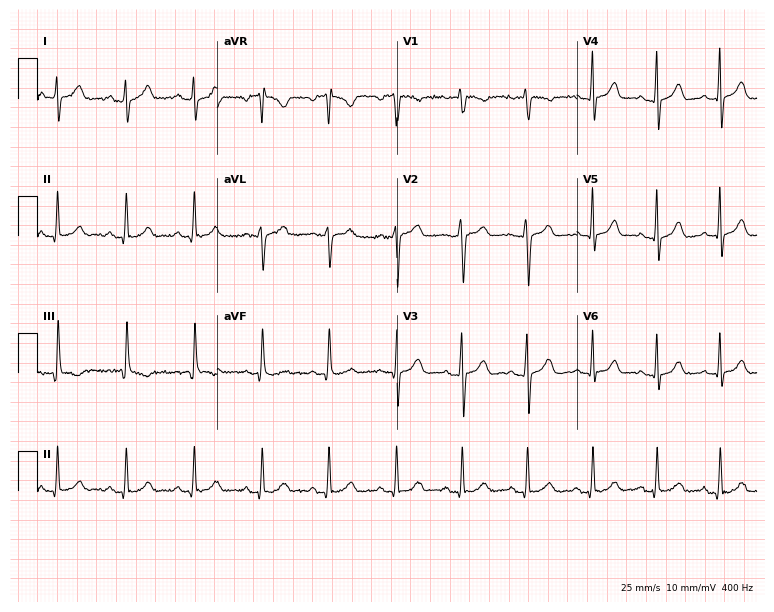
12-lead ECG from a 28-year-old female patient. Recorded interpretation: within normal limits.